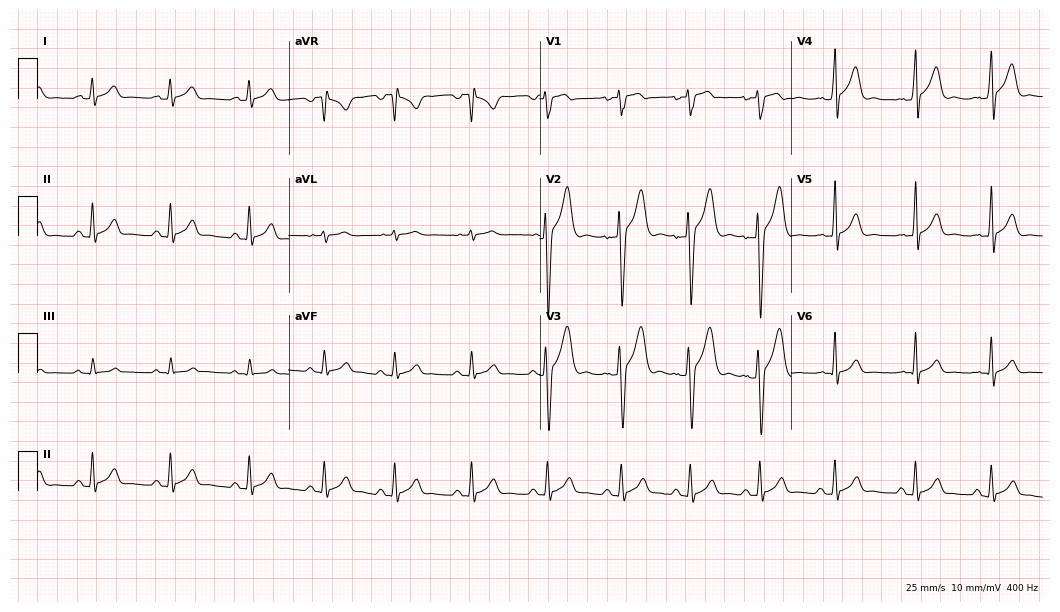
Electrocardiogram (10.2-second recording at 400 Hz), a man, 19 years old. Overall reading on record: normal ECG.